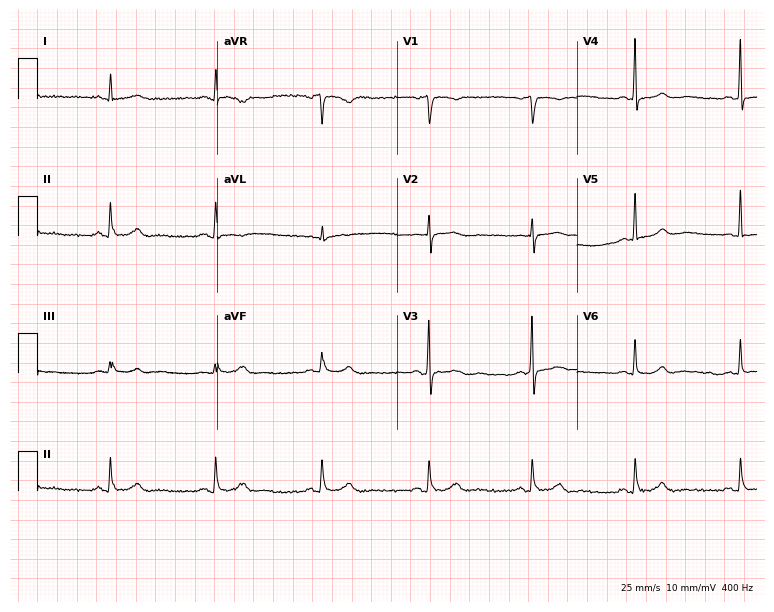
Standard 12-lead ECG recorded from a male patient, 54 years old (7.3-second recording at 400 Hz). None of these six findings is recorded: first-degree AV block, right bundle branch block, left bundle branch block, sinus bradycardia, atrial fibrillation, sinus tachycardia. Other findings, if any, are not listed.